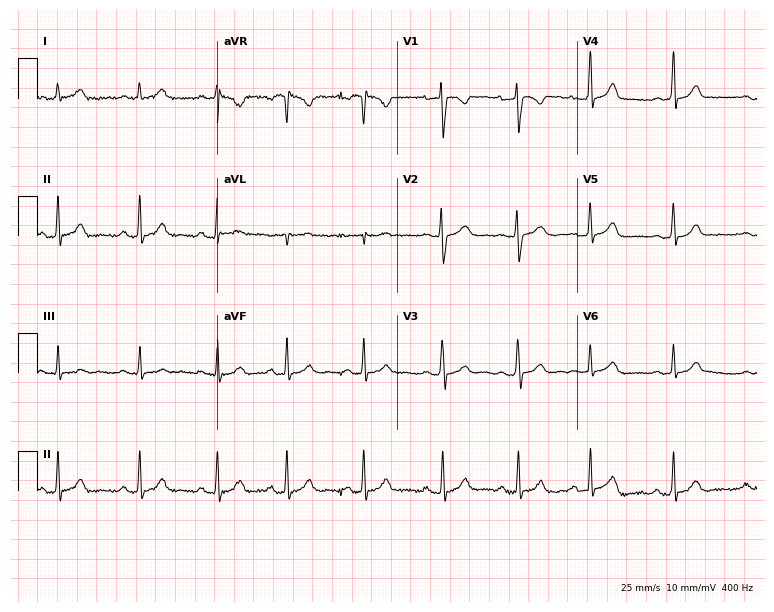
Electrocardiogram (7.3-second recording at 400 Hz), an 18-year-old woman. Of the six screened findings (first-degree AV block, right bundle branch block, left bundle branch block, sinus bradycardia, atrial fibrillation, sinus tachycardia), none is recorded.